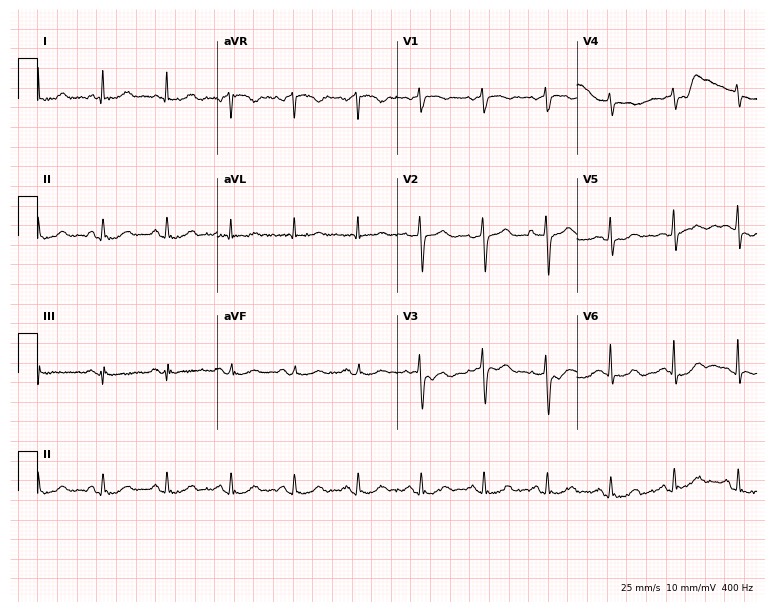
Resting 12-lead electrocardiogram (7.3-second recording at 400 Hz). Patient: a 60-year-old woman. None of these six findings is recorded: first-degree AV block, right bundle branch block, left bundle branch block, sinus bradycardia, atrial fibrillation, sinus tachycardia.